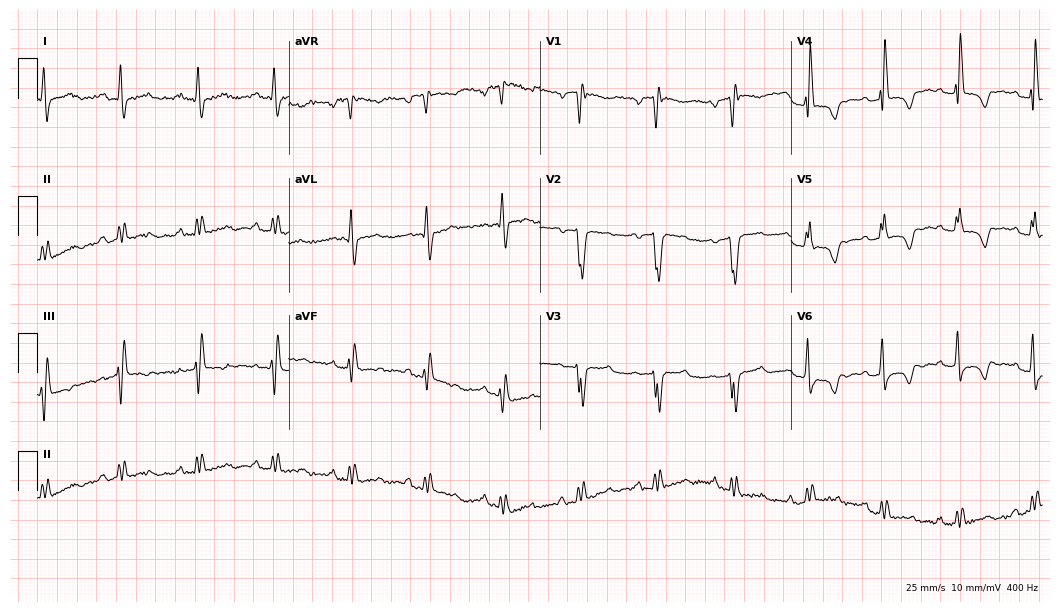
Electrocardiogram, a male patient, 37 years old. Interpretation includes right bundle branch block.